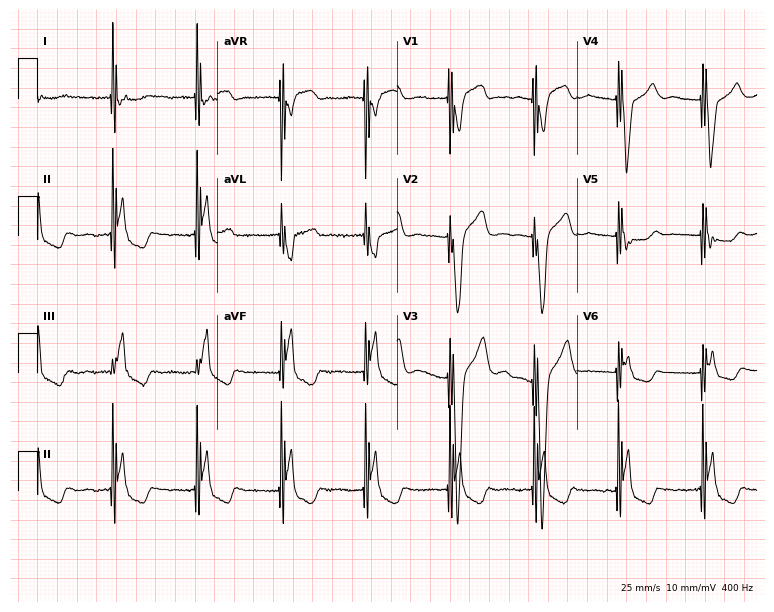
Standard 12-lead ECG recorded from a male, 75 years old. None of these six findings is recorded: first-degree AV block, right bundle branch block (RBBB), left bundle branch block (LBBB), sinus bradycardia, atrial fibrillation (AF), sinus tachycardia.